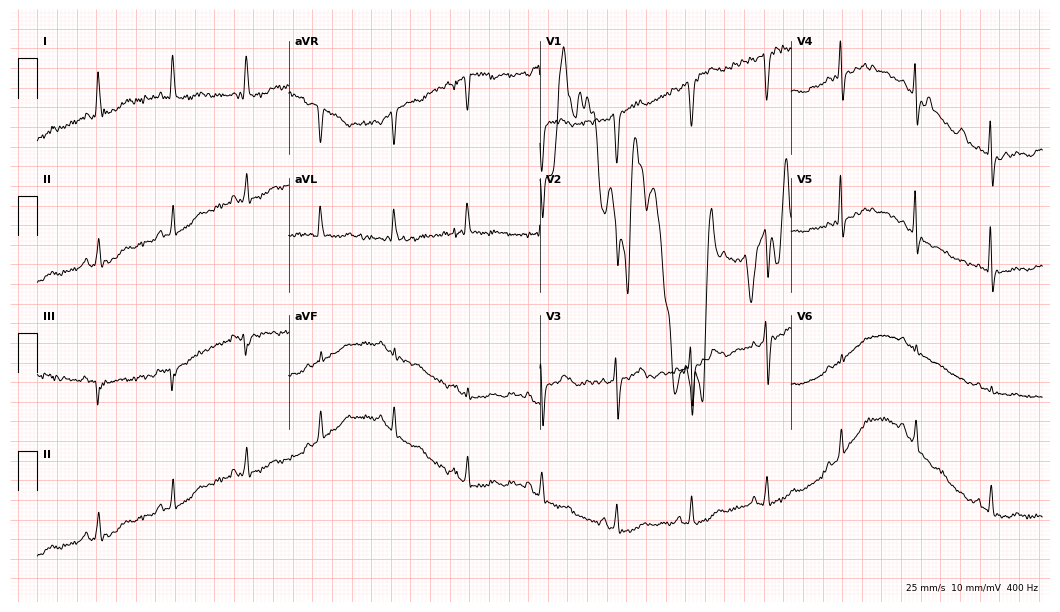
ECG (10.2-second recording at 400 Hz) — a woman, 57 years old. Screened for six findings — first-degree AV block, right bundle branch block, left bundle branch block, sinus bradycardia, atrial fibrillation, sinus tachycardia — none is recorded. Findings outside these six are not listed.